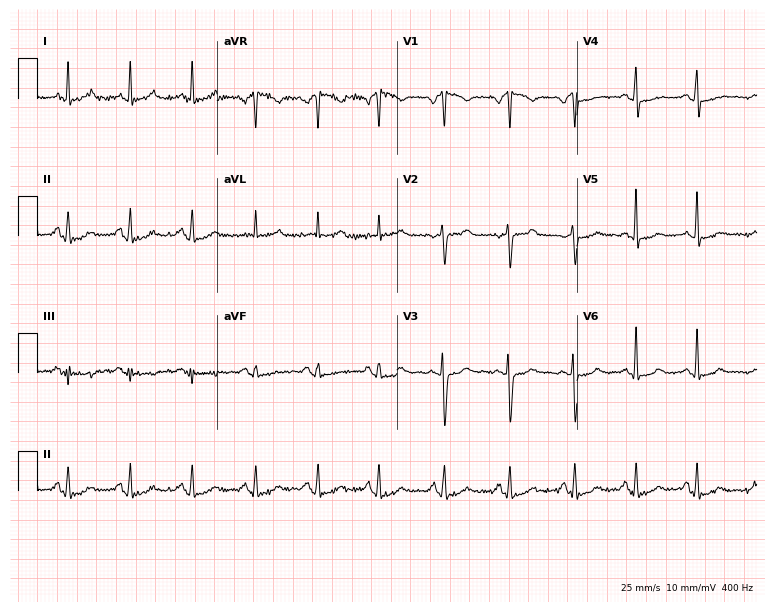
12-lead ECG from a 36-year-old woman. Labelled as a normal ECG.